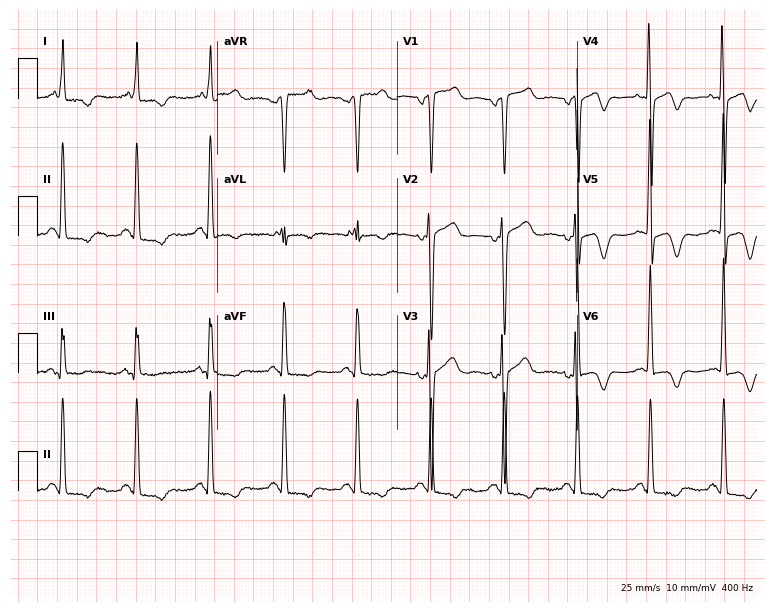
12-lead ECG from a woman, 75 years old. Screened for six findings — first-degree AV block, right bundle branch block (RBBB), left bundle branch block (LBBB), sinus bradycardia, atrial fibrillation (AF), sinus tachycardia — none is recorded.